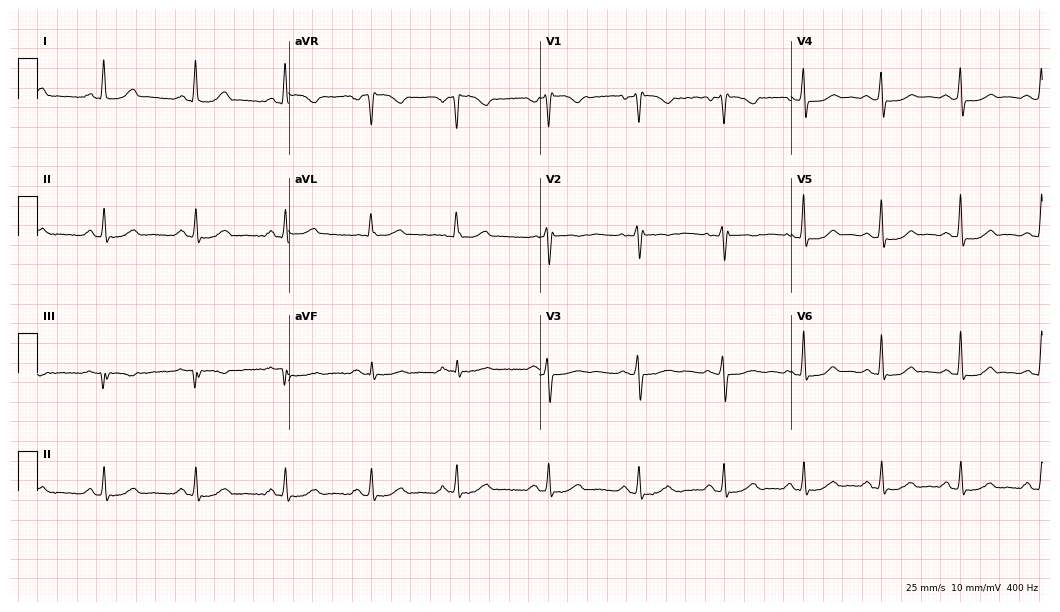
Resting 12-lead electrocardiogram. Patient: a 47-year-old woman. None of these six findings is recorded: first-degree AV block, right bundle branch block, left bundle branch block, sinus bradycardia, atrial fibrillation, sinus tachycardia. Findings outside these six are not listed.